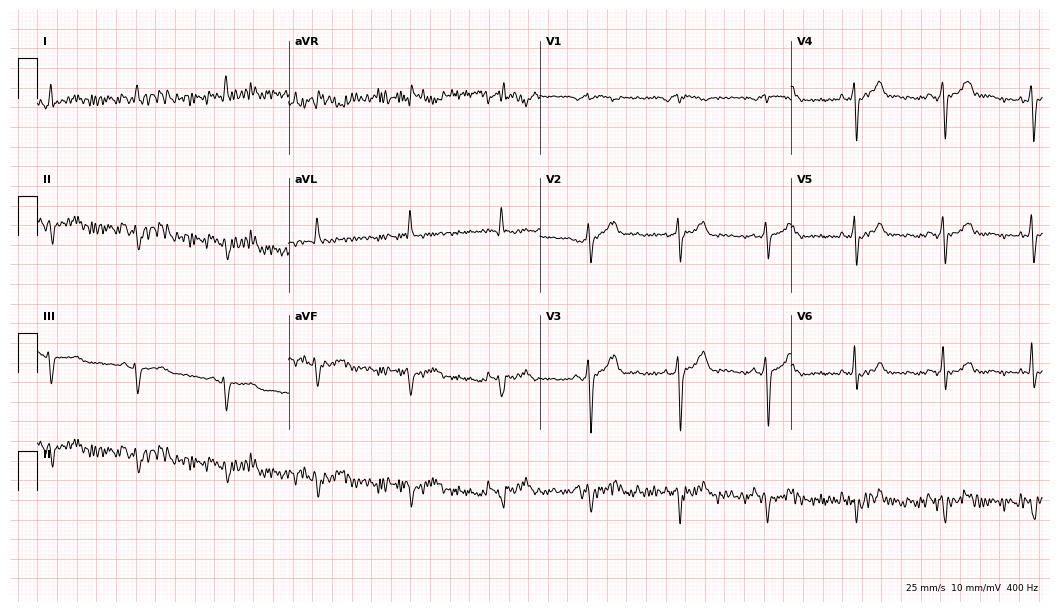
Resting 12-lead electrocardiogram (10.2-second recording at 400 Hz). Patient: a male, 52 years old. None of these six findings is recorded: first-degree AV block, right bundle branch block (RBBB), left bundle branch block (LBBB), sinus bradycardia, atrial fibrillation (AF), sinus tachycardia.